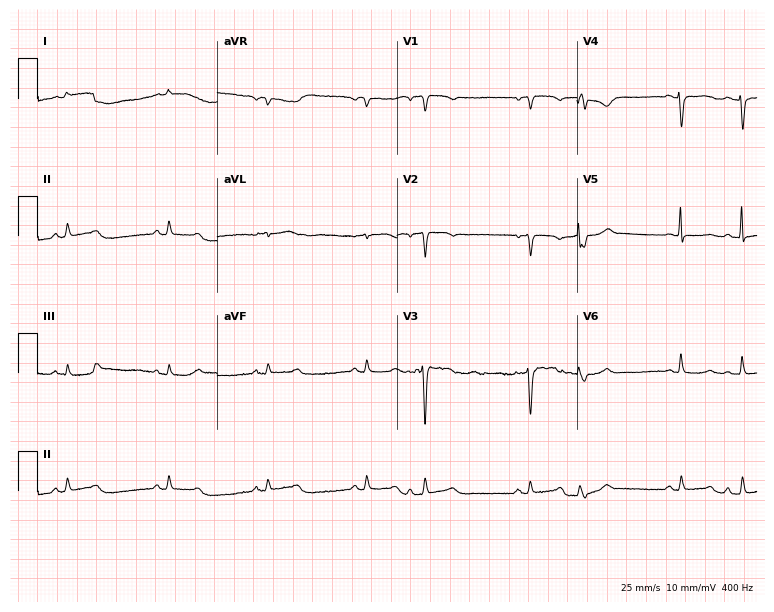
Standard 12-lead ECG recorded from a female, 84 years old (7.3-second recording at 400 Hz). None of these six findings is recorded: first-degree AV block, right bundle branch block, left bundle branch block, sinus bradycardia, atrial fibrillation, sinus tachycardia.